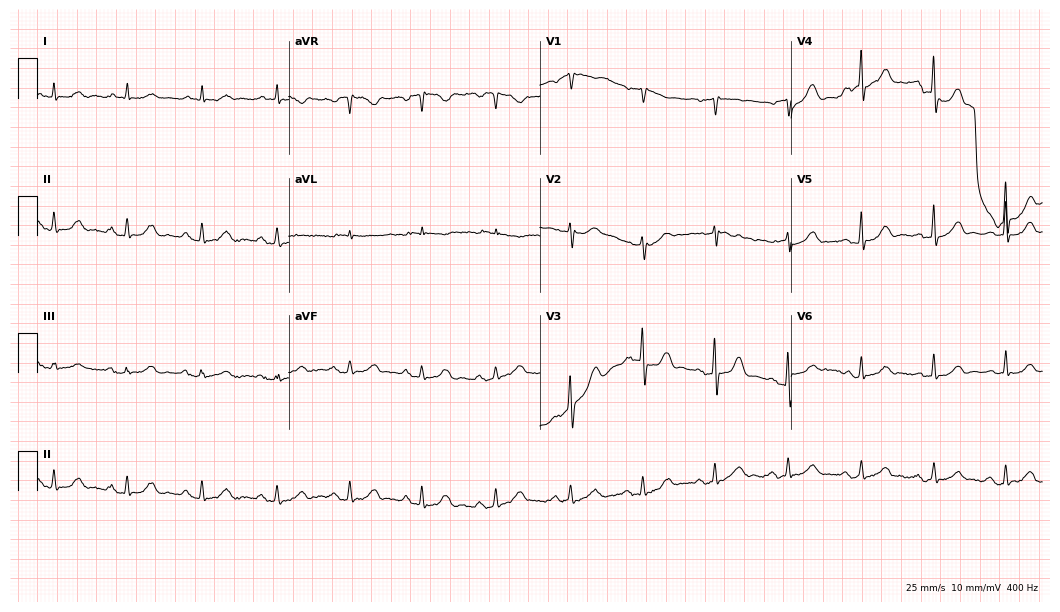
Standard 12-lead ECG recorded from a male, 83 years old. Read as a normal ECG.